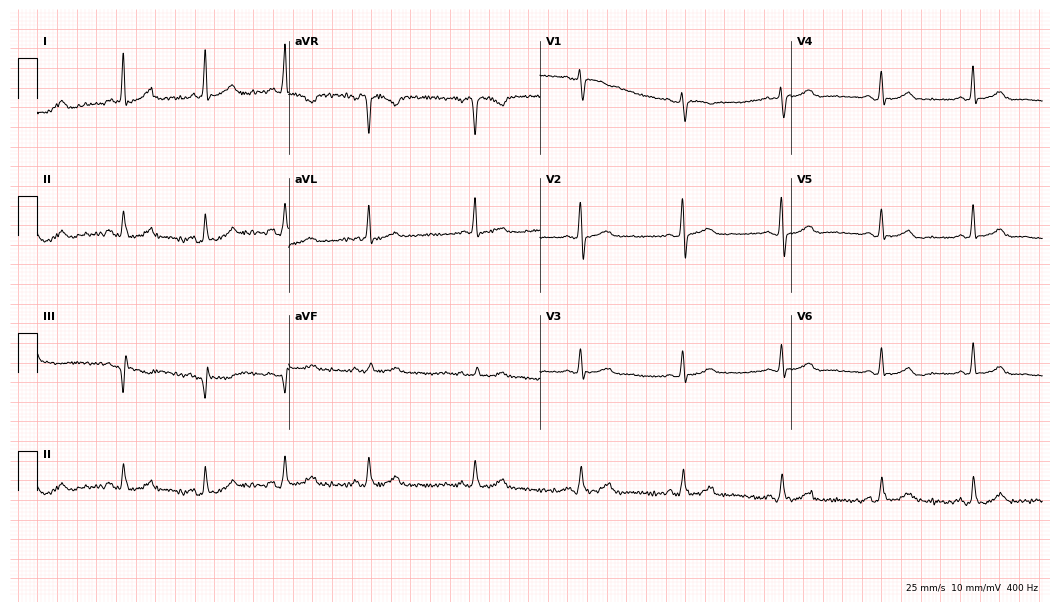
12-lead ECG from a female, 59 years old. No first-degree AV block, right bundle branch block, left bundle branch block, sinus bradycardia, atrial fibrillation or sinus tachycardia recorded for this tracing.